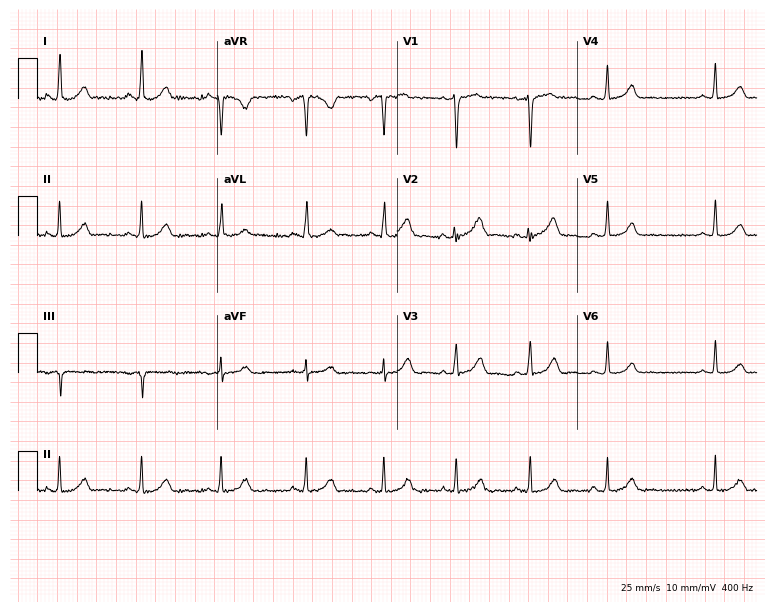
ECG — a 29-year-old female patient. Labelled as a normal ECG.